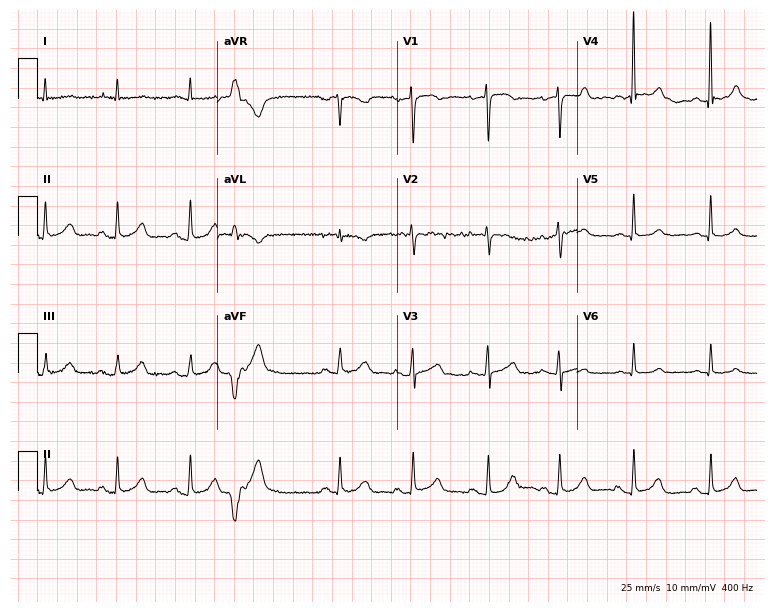
ECG (7.3-second recording at 400 Hz) — a woman, 78 years old. Screened for six findings — first-degree AV block, right bundle branch block, left bundle branch block, sinus bradycardia, atrial fibrillation, sinus tachycardia — none is recorded.